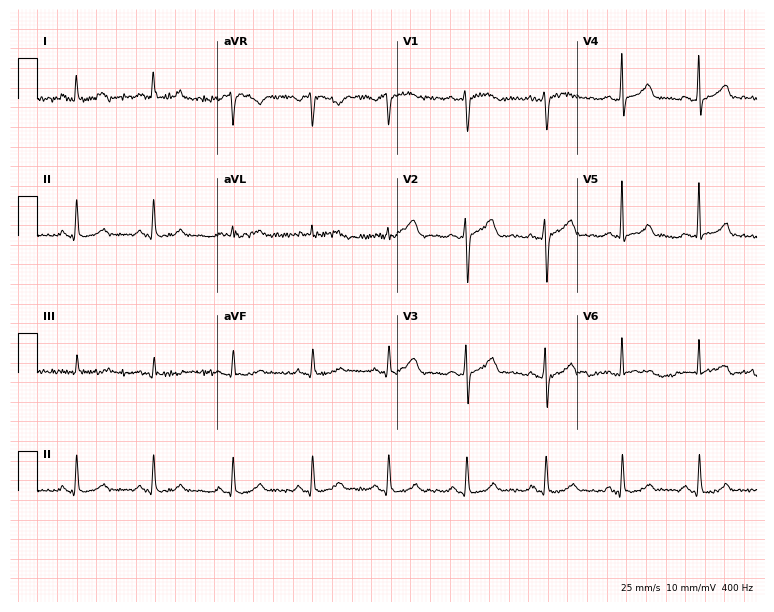
Electrocardiogram, a 37-year-old woman. Overall reading on record: normal ECG.